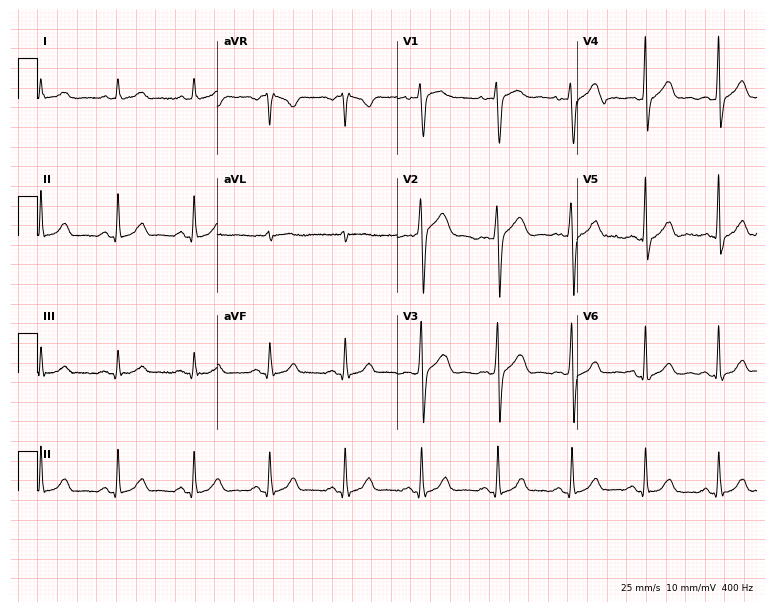
Resting 12-lead electrocardiogram. Patient: a 35-year-old man. Read as a normal ECG.